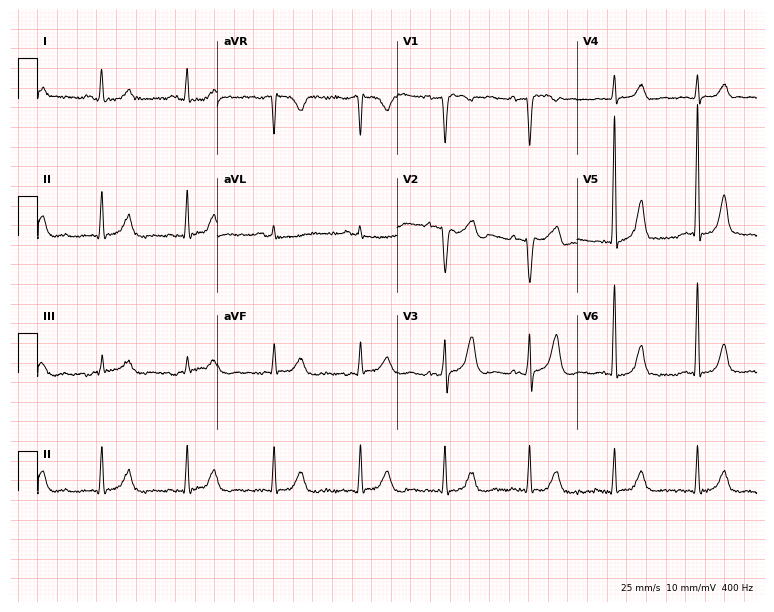
ECG — a female patient, 63 years old. Screened for six findings — first-degree AV block, right bundle branch block, left bundle branch block, sinus bradycardia, atrial fibrillation, sinus tachycardia — none is recorded. Only these six findings were labelled.